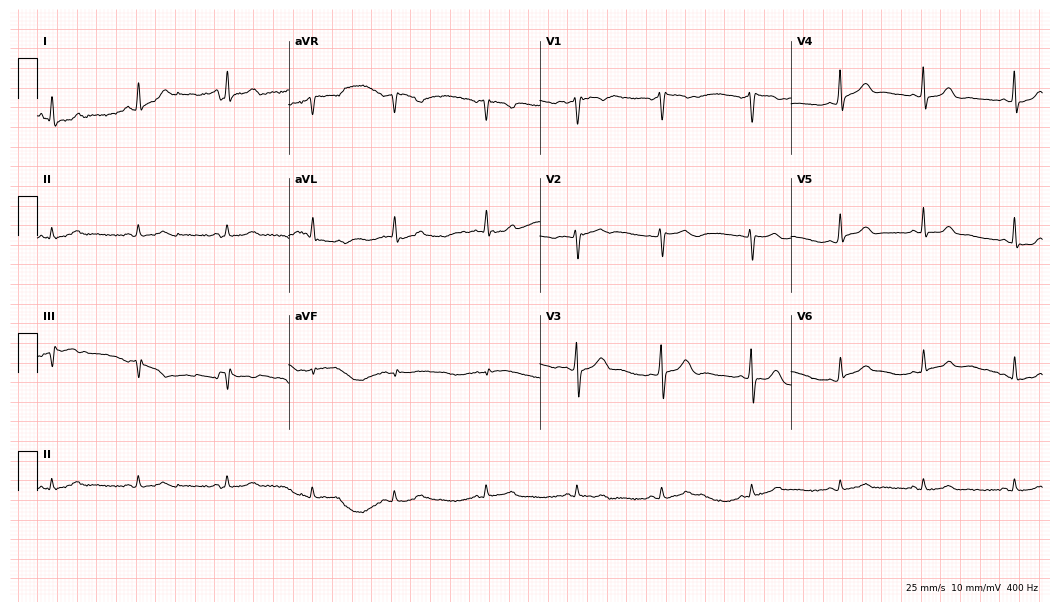
Standard 12-lead ECG recorded from a 36-year-old female. None of these six findings is recorded: first-degree AV block, right bundle branch block, left bundle branch block, sinus bradycardia, atrial fibrillation, sinus tachycardia.